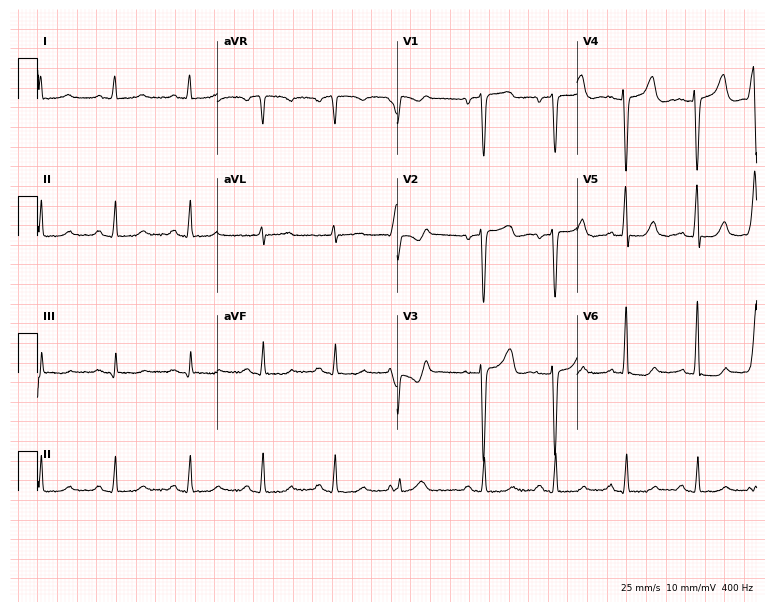
12-lead ECG from an 85-year-old female. No first-degree AV block, right bundle branch block, left bundle branch block, sinus bradycardia, atrial fibrillation or sinus tachycardia recorded for this tracing. Only these six findings were labelled.